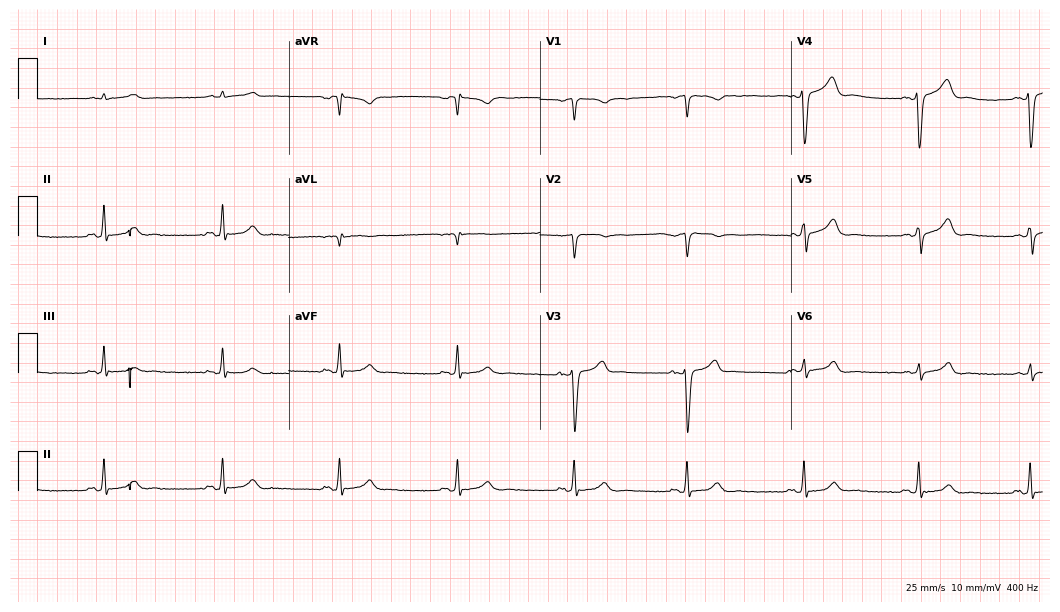
ECG (10.2-second recording at 400 Hz) — a 44-year-old man. Screened for six findings — first-degree AV block, right bundle branch block, left bundle branch block, sinus bradycardia, atrial fibrillation, sinus tachycardia — none is recorded.